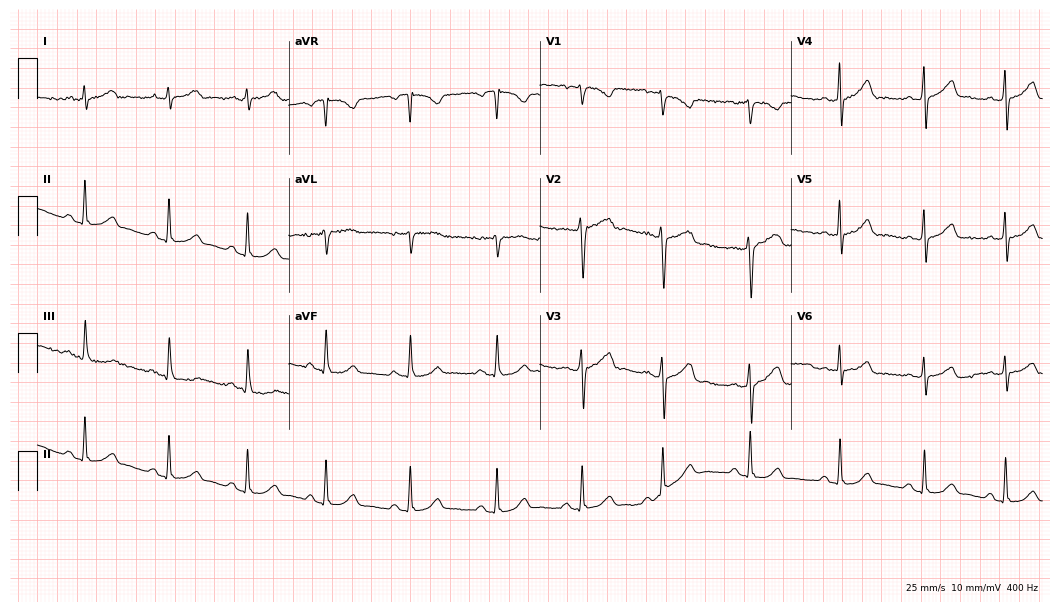
Standard 12-lead ECG recorded from a female patient, 33 years old (10.2-second recording at 400 Hz). Read as a normal ECG.